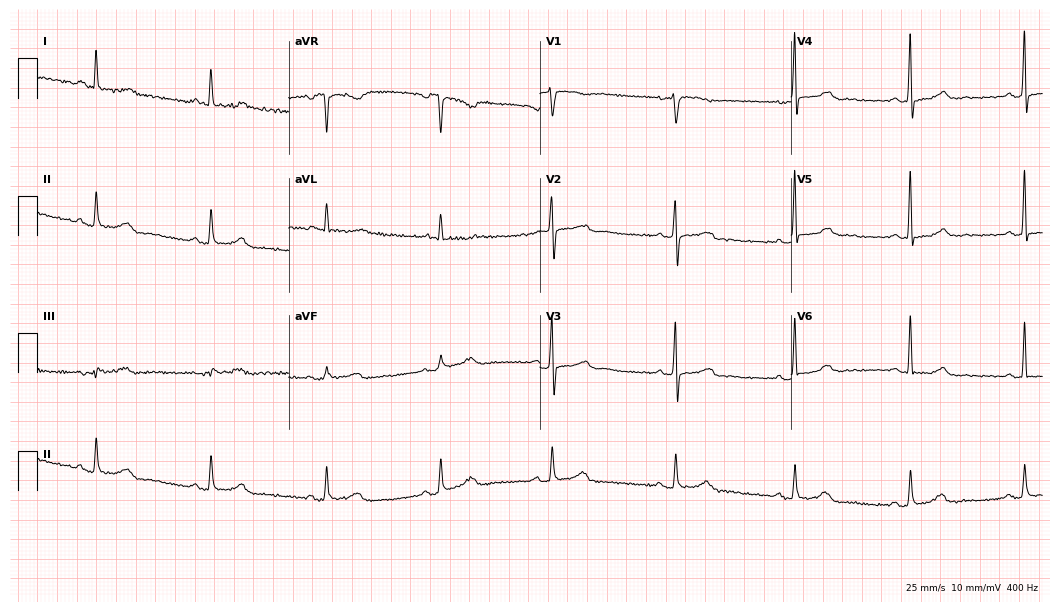
12-lead ECG from a female patient, 59 years old. Labelled as a normal ECG.